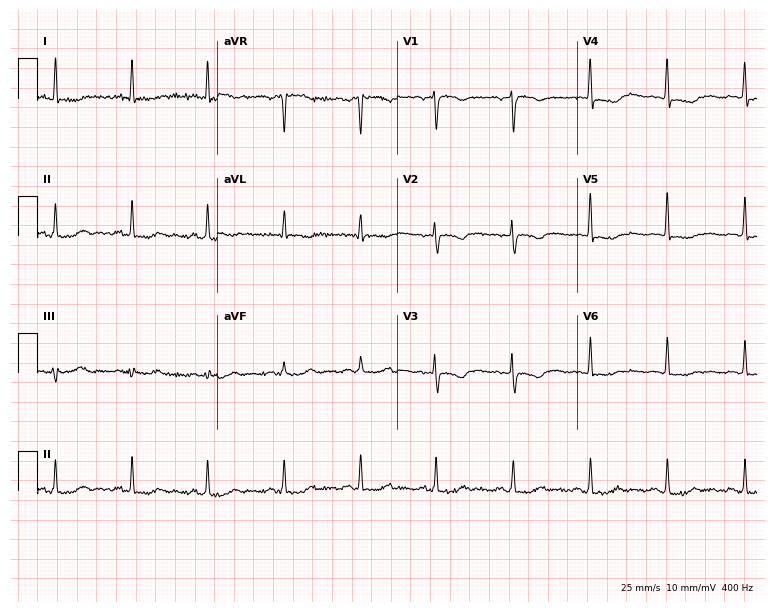
Standard 12-lead ECG recorded from a female patient, 56 years old. None of these six findings is recorded: first-degree AV block, right bundle branch block (RBBB), left bundle branch block (LBBB), sinus bradycardia, atrial fibrillation (AF), sinus tachycardia.